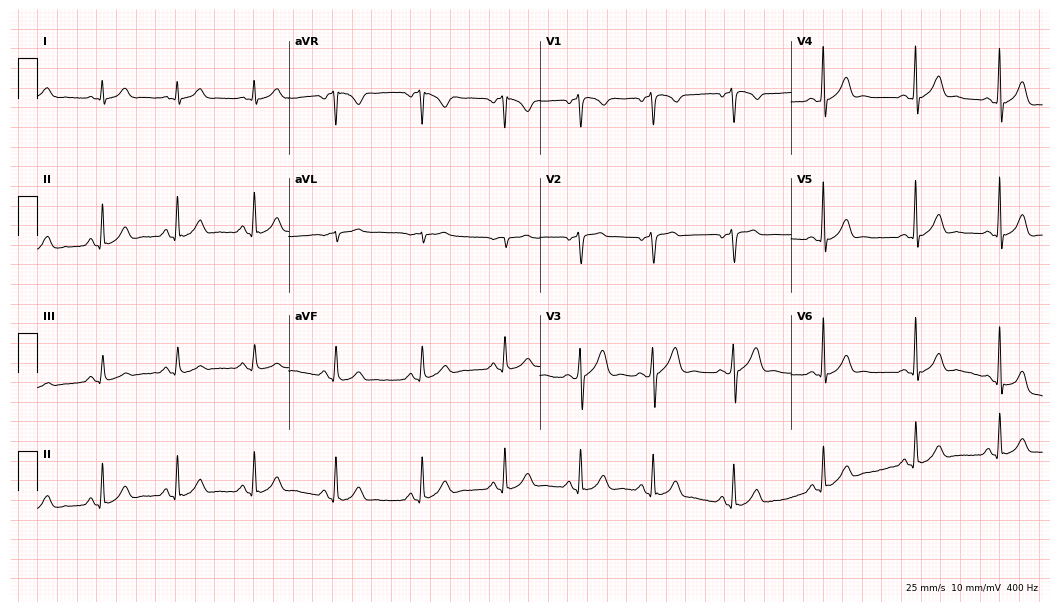
ECG (10.2-second recording at 400 Hz) — a male patient, 35 years old. Labelled as a normal ECG.